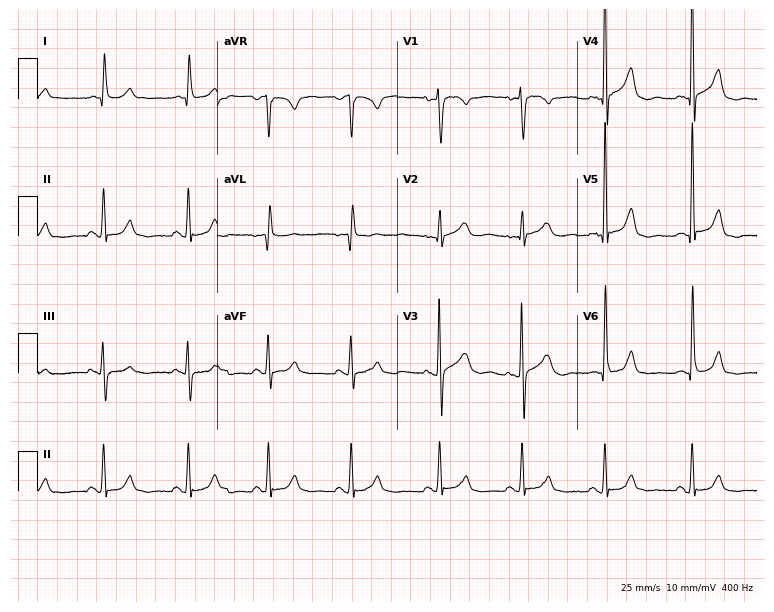
12-lead ECG from a woman, 71 years old (7.3-second recording at 400 Hz). No first-degree AV block, right bundle branch block, left bundle branch block, sinus bradycardia, atrial fibrillation or sinus tachycardia recorded for this tracing.